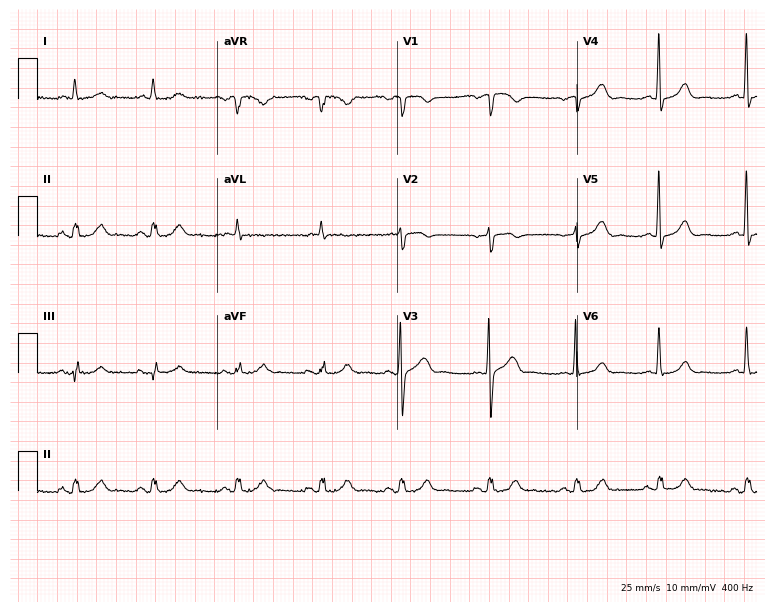
12-lead ECG from a 78-year-old male. No first-degree AV block, right bundle branch block, left bundle branch block, sinus bradycardia, atrial fibrillation or sinus tachycardia recorded for this tracing. Findings outside these six are not listed.